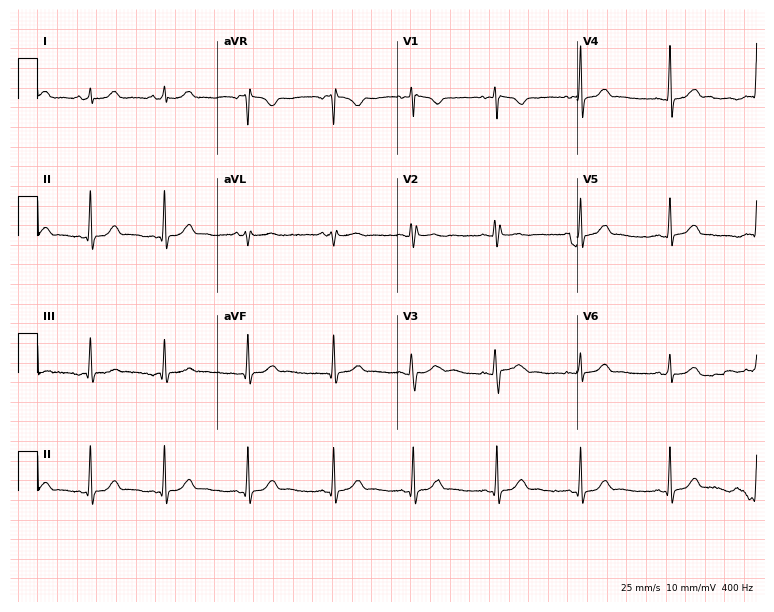
12-lead ECG from a 17-year-old woman. Labelled as a normal ECG.